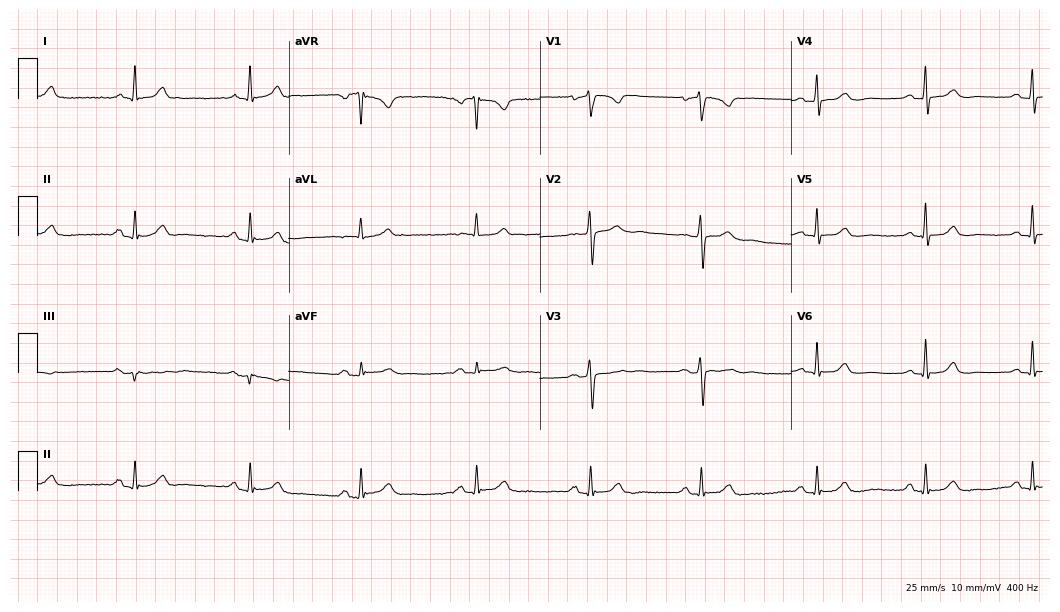
Electrocardiogram (10.2-second recording at 400 Hz), a woman, 59 years old. Overall reading on record: normal ECG.